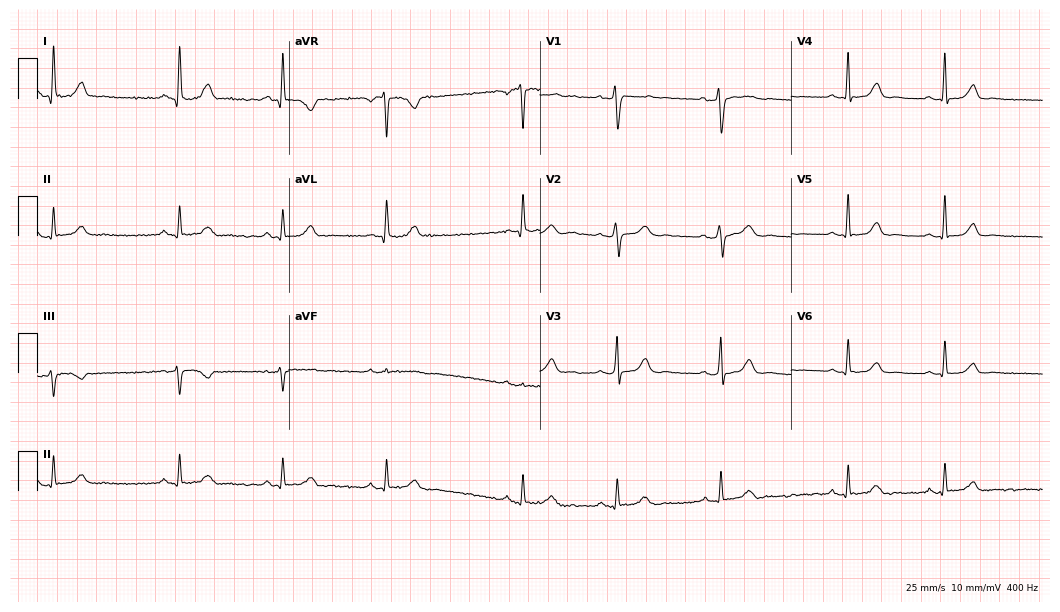
Resting 12-lead electrocardiogram. Patient: a 37-year-old female. None of these six findings is recorded: first-degree AV block, right bundle branch block, left bundle branch block, sinus bradycardia, atrial fibrillation, sinus tachycardia. Only these six findings were labelled.